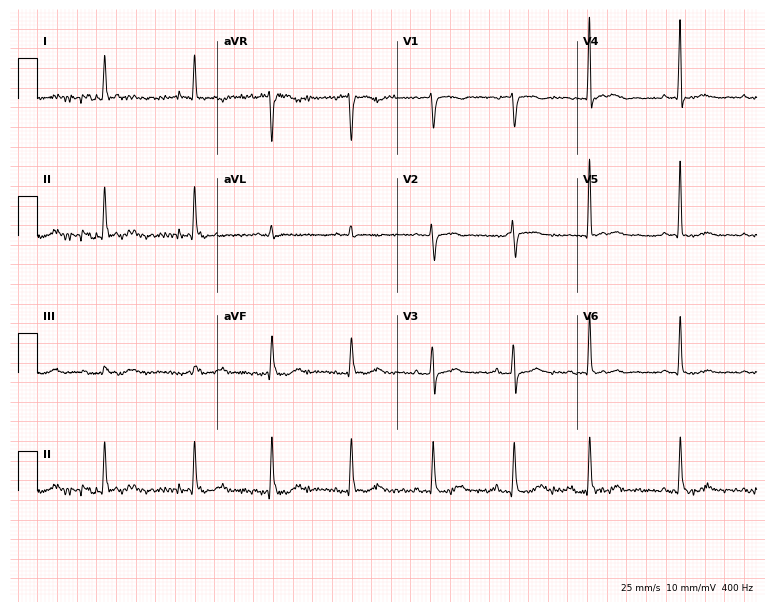
12-lead ECG from a female patient, 83 years old (7.3-second recording at 400 Hz). No first-degree AV block, right bundle branch block, left bundle branch block, sinus bradycardia, atrial fibrillation or sinus tachycardia recorded for this tracing.